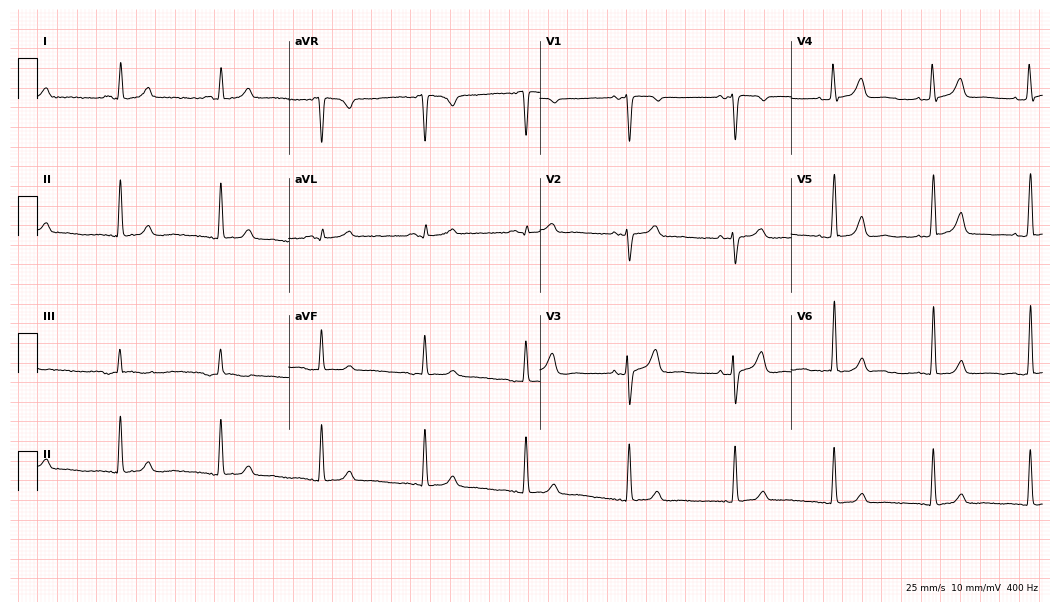
Electrocardiogram (10.2-second recording at 400 Hz), a 52-year-old female patient. Overall reading on record: normal ECG.